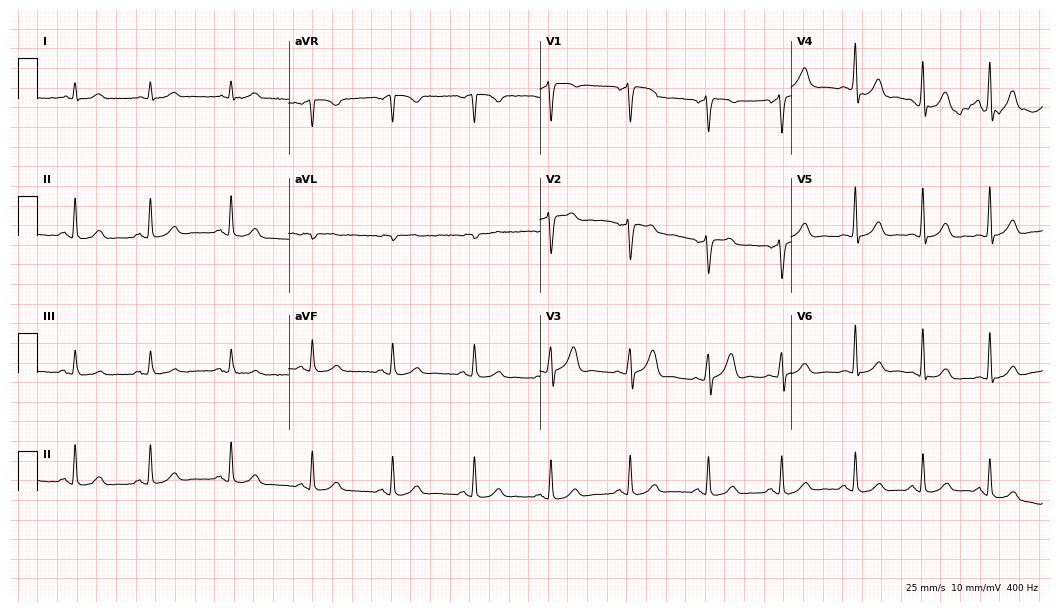
Standard 12-lead ECG recorded from a male patient, 70 years old. None of these six findings is recorded: first-degree AV block, right bundle branch block, left bundle branch block, sinus bradycardia, atrial fibrillation, sinus tachycardia.